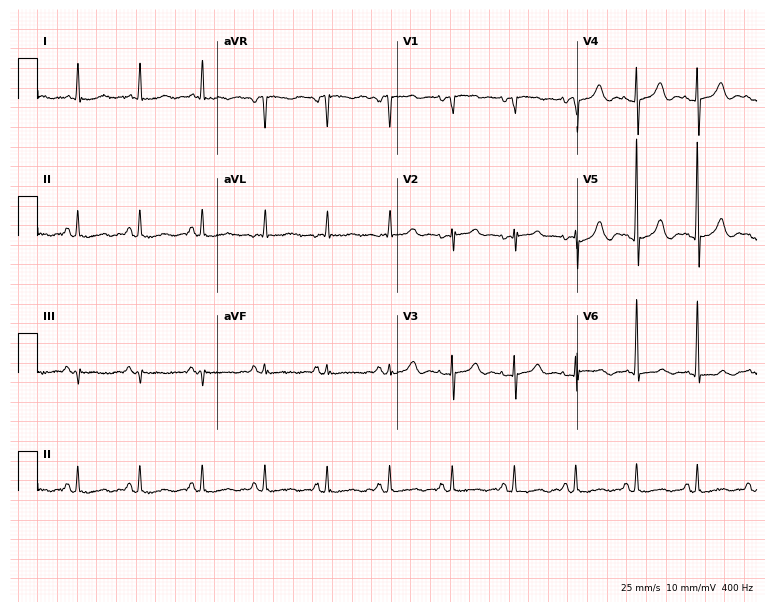
Standard 12-lead ECG recorded from a female, 84 years old. None of these six findings is recorded: first-degree AV block, right bundle branch block, left bundle branch block, sinus bradycardia, atrial fibrillation, sinus tachycardia. Findings outside these six are not listed.